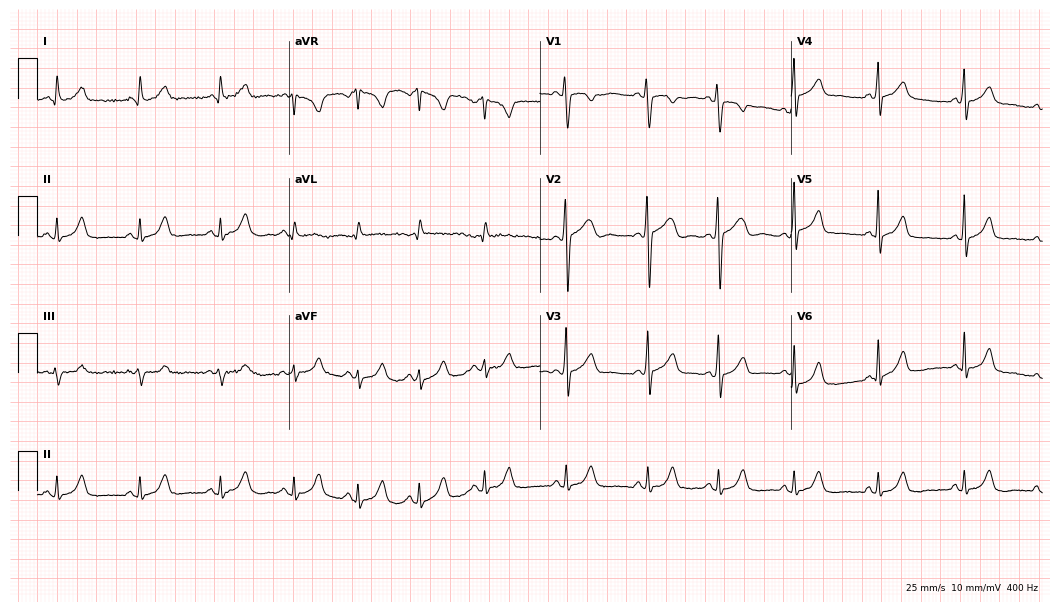
12-lead ECG from a 20-year-old woman. Recorded interpretation: within normal limits.